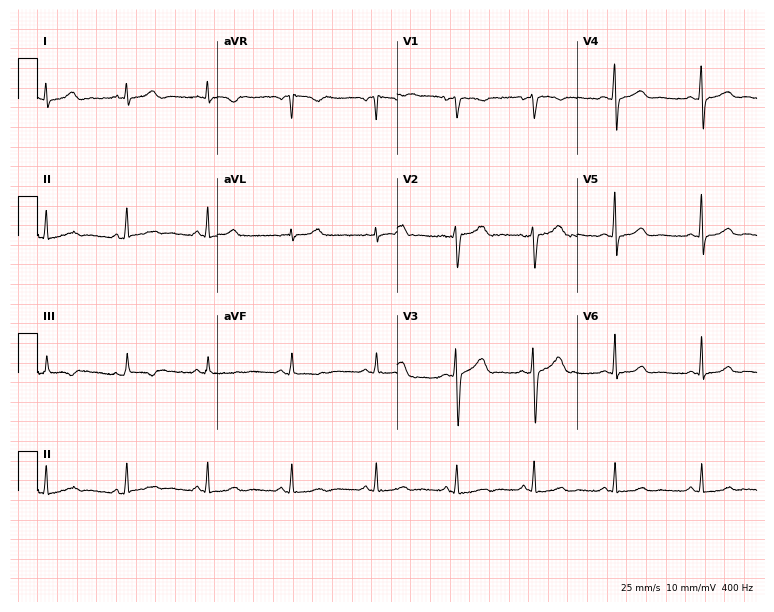
ECG — a female, 39 years old. Labelled as a normal ECG.